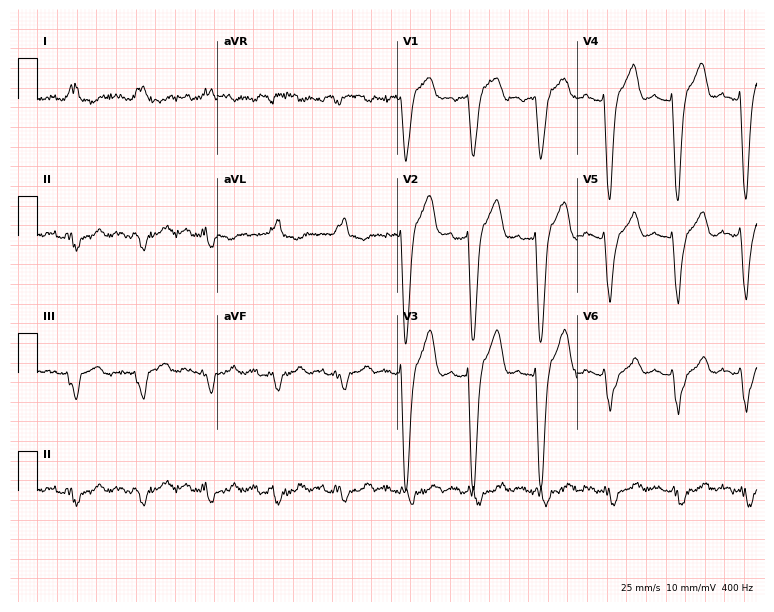
Standard 12-lead ECG recorded from an 83-year-old man. The tracing shows first-degree AV block, left bundle branch block (LBBB).